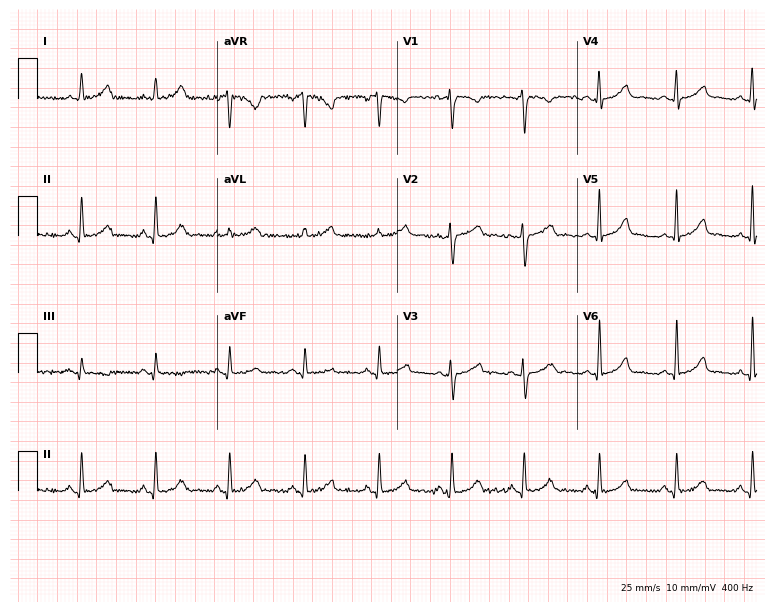
12-lead ECG (7.3-second recording at 400 Hz) from a woman, 40 years old. Labelled as a normal ECG.